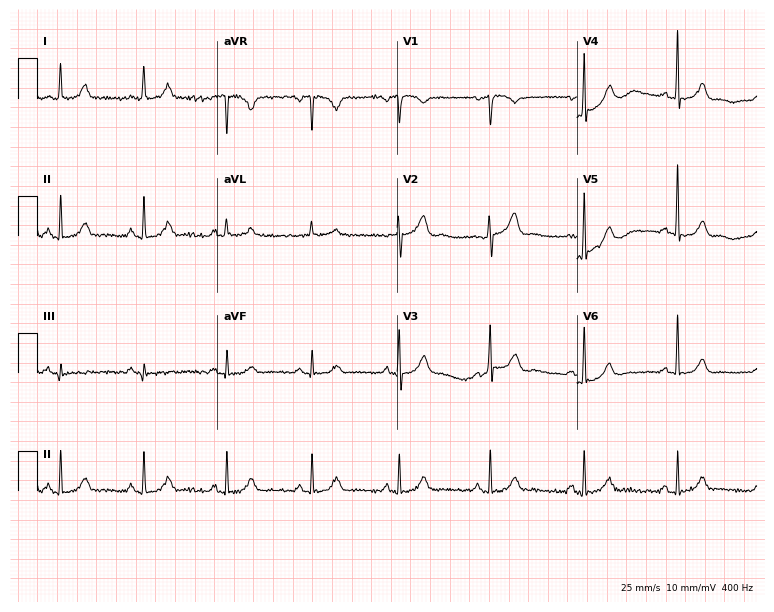
Electrocardiogram (7.3-second recording at 400 Hz), a 51-year-old woman. Overall reading on record: normal ECG.